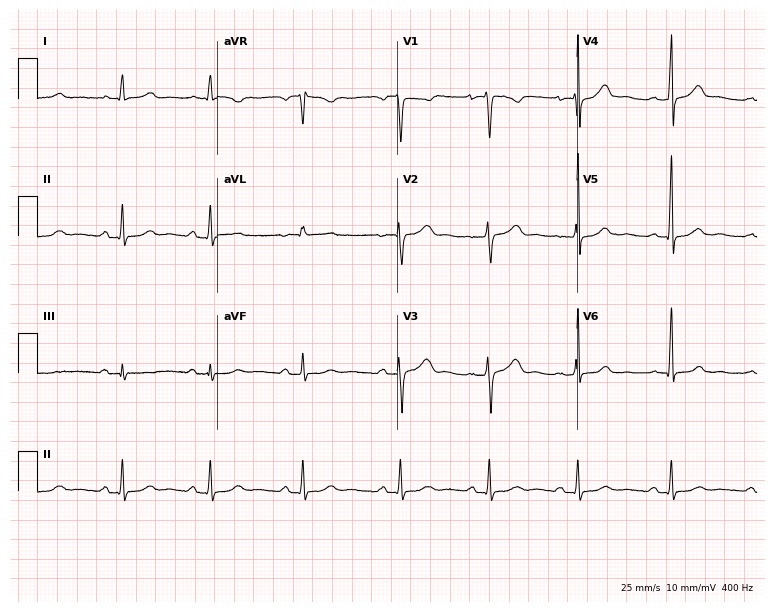
12-lead ECG from a female, 29 years old. Labelled as a normal ECG.